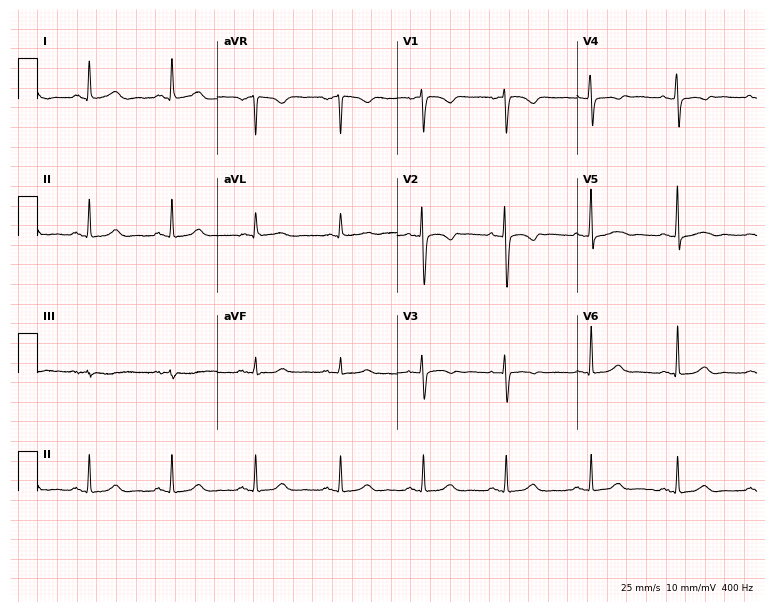
Resting 12-lead electrocardiogram. Patient: a woman, 54 years old. None of these six findings is recorded: first-degree AV block, right bundle branch block, left bundle branch block, sinus bradycardia, atrial fibrillation, sinus tachycardia.